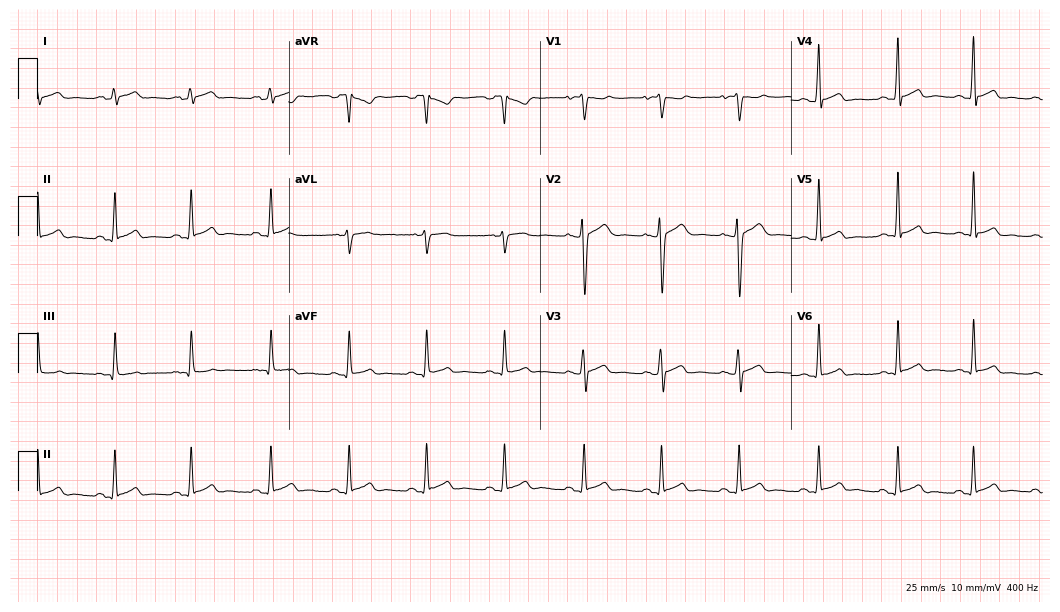
Resting 12-lead electrocardiogram. Patient: a male, 19 years old. Read as a normal ECG.